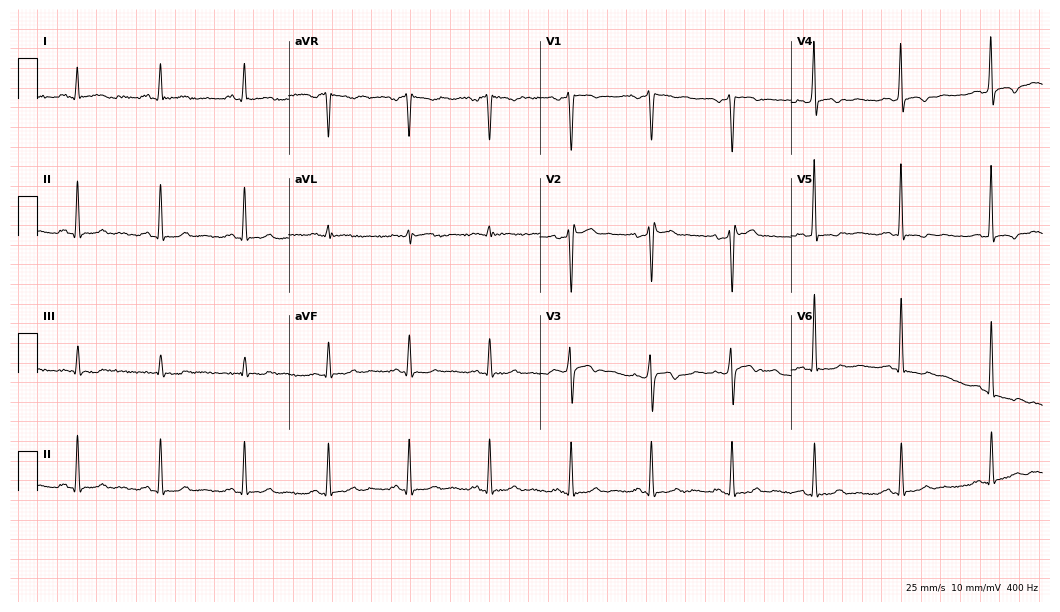
Electrocardiogram (10.2-second recording at 400 Hz), a 48-year-old male. Of the six screened findings (first-degree AV block, right bundle branch block, left bundle branch block, sinus bradycardia, atrial fibrillation, sinus tachycardia), none is recorded. Findings outside these six are not listed.